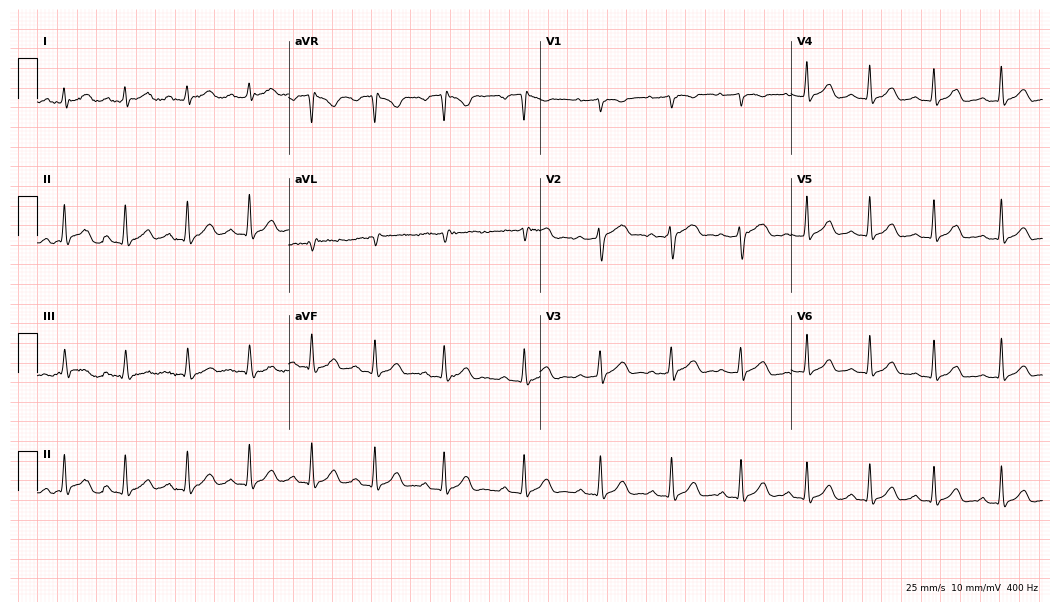
Electrocardiogram (10.2-second recording at 400 Hz), a 25-year-old male patient. Of the six screened findings (first-degree AV block, right bundle branch block (RBBB), left bundle branch block (LBBB), sinus bradycardia, atrial fibrillation (AF), sinus tachycardia), none is recorded. Findings outside these six are not listed.